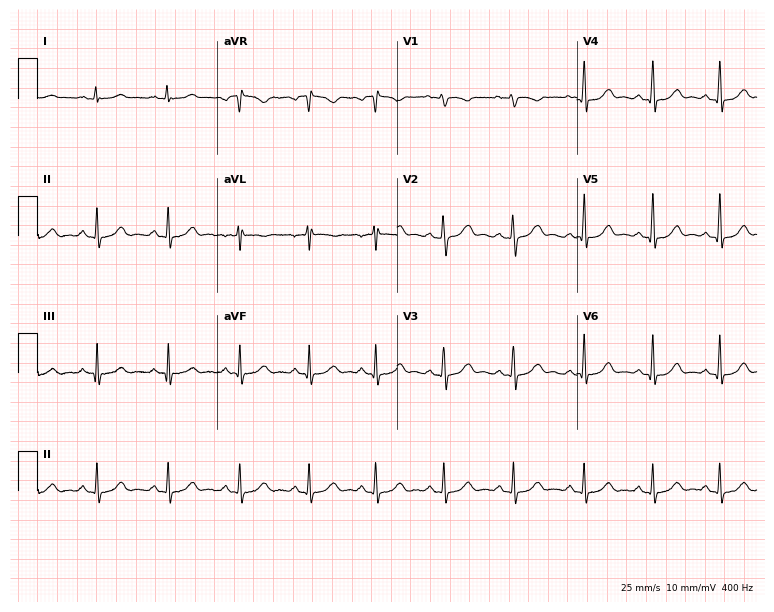
ECG — a female, 23 years old. Labelled as a normal ECG.